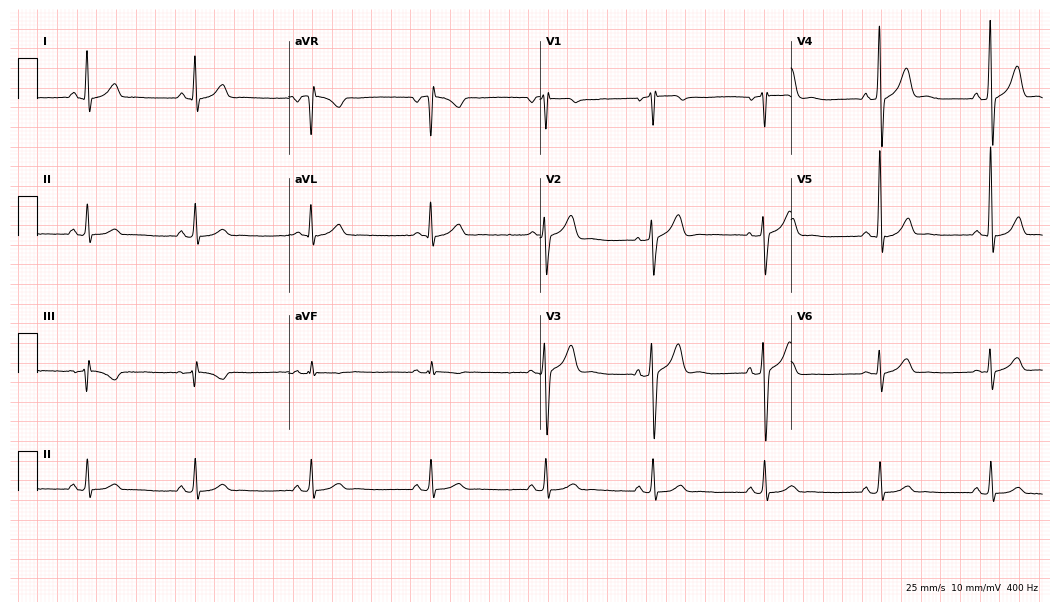
Resting 12-lead electrocardiogram. Patient: a male, 56 years old. None of these six findings is recorded: first-degree AV block, right bundle branch block, left bundle branch block, sinus bradycardia, atrial fibrillation, sinus tachycardia. Other findings, if any, are not listed.